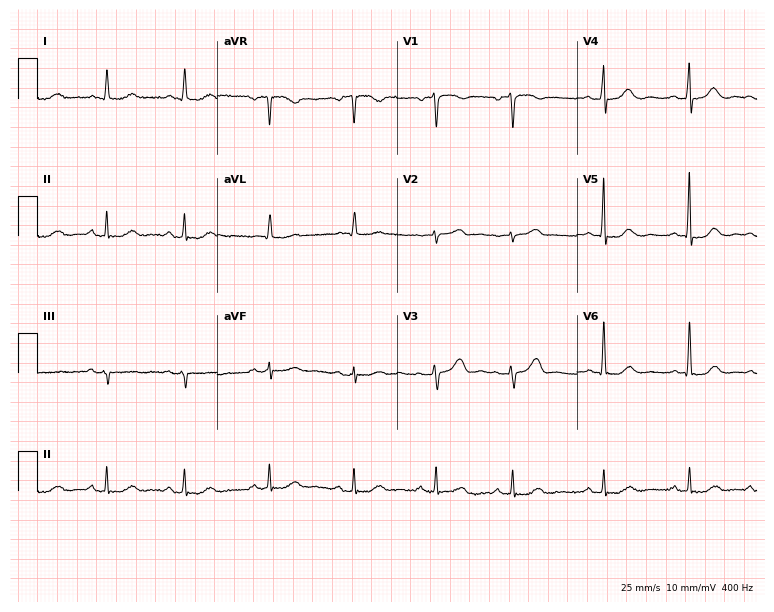
Standard 12-lead ECG recorded from a female patient, 79 years old. Read as a normal ECG.